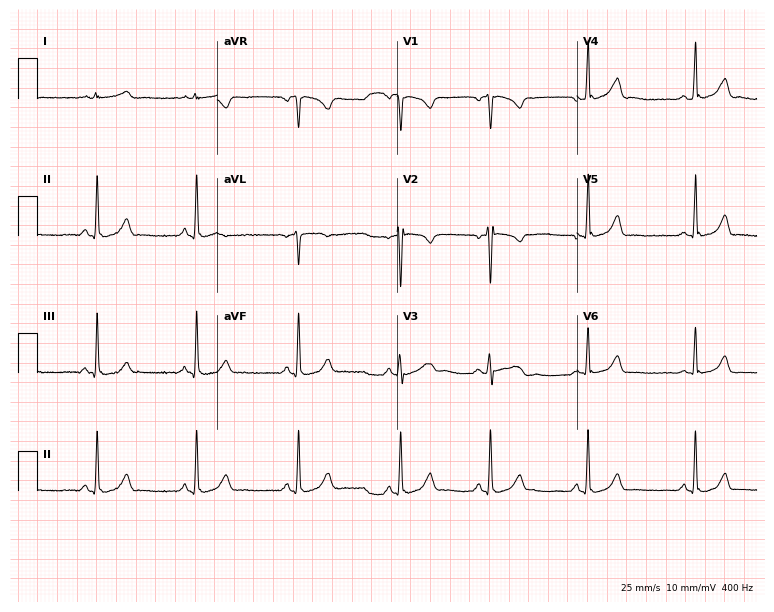
Resting 12-lead electrocardiogram. Patient: a female, 25 years old. None of these six findings is recorded: first-degree AV block, right bundle branch block, left bundle branch block, sinus bradycardia, atrial fibrillation, sinus tachycardia.